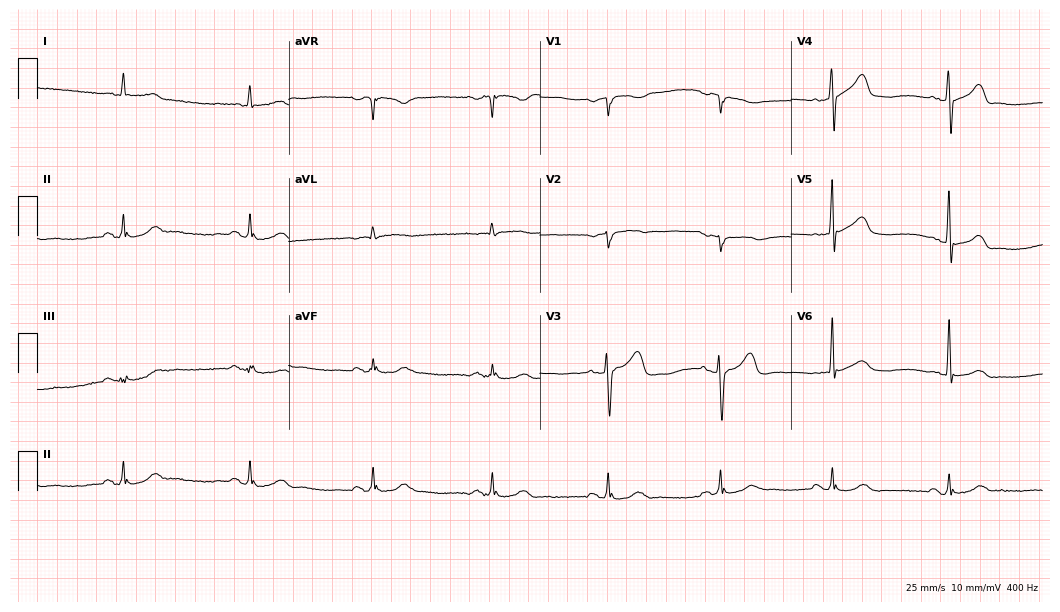
Standard 12-lead ECG recorded from an 85-year-old male patient (10.2-second recording at 400 Hz). The tracing shows sinus bradycardia (a sinus rate of 50 beats per minute or less).